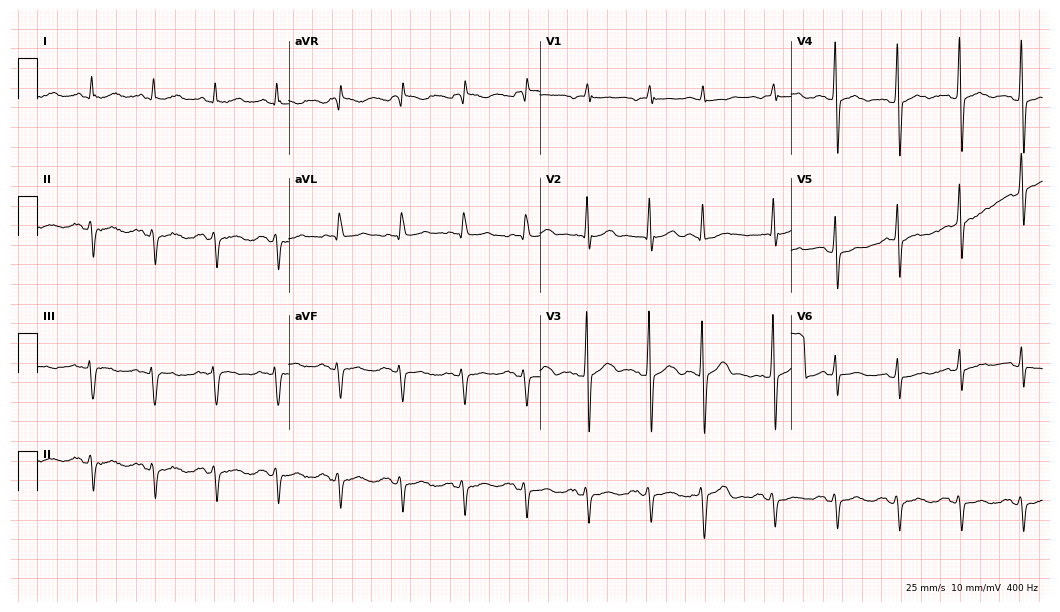
12-lead ECG (10.2-second recording at 400 Hz) from a man, 73 years old. Labelled as a normal ECG.